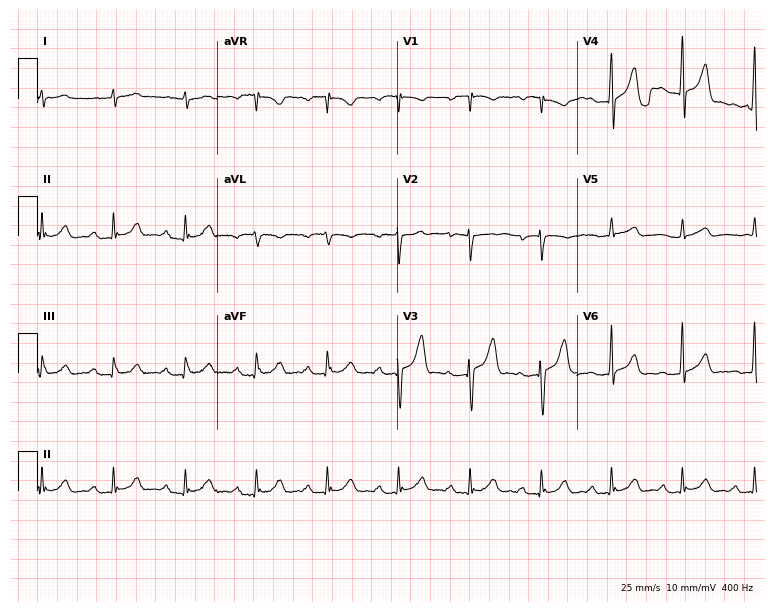
12-lead ECG from a male, 78 years old. Shows first-degree AV block.